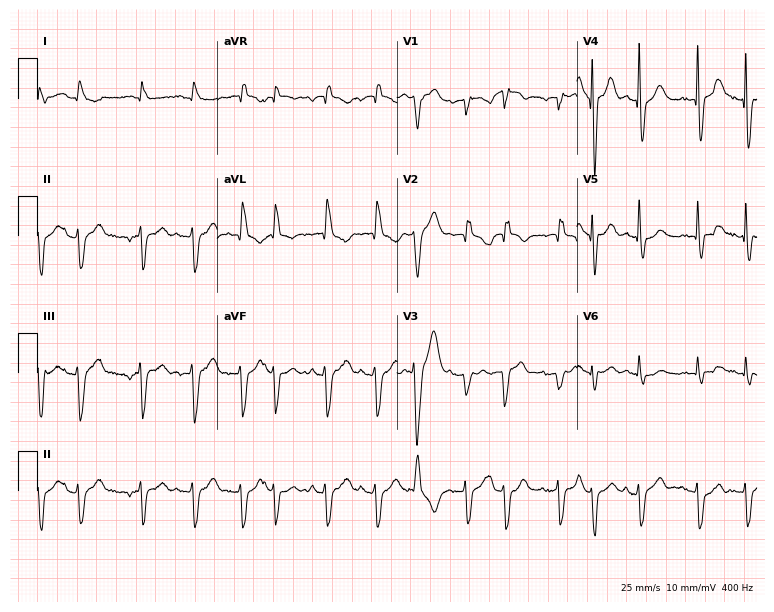
ECG (7.3-second recording at 400 Hz) — a male patient, 81 years old. Findings include atrial fibrillation.